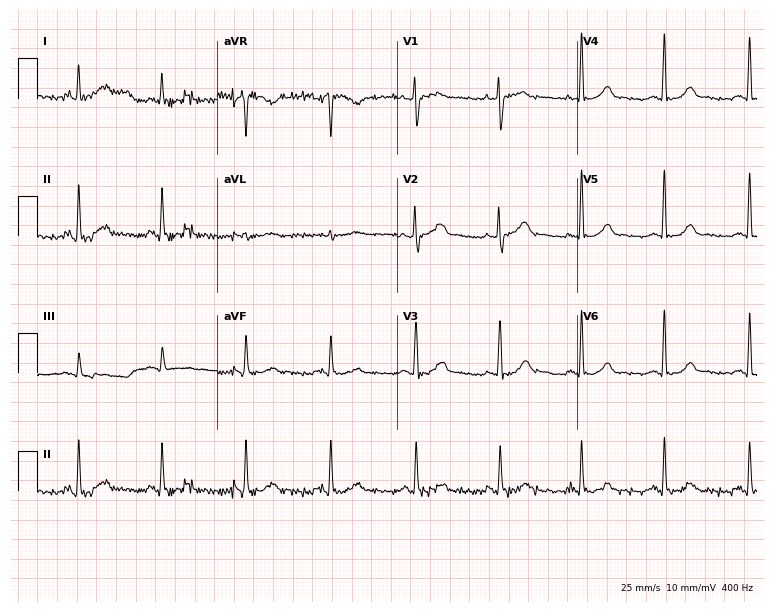
Standard 12-lead ECG recorded from a woman, 33 years old (7.3-second recording at 400 Hz). Read as a normal ECG.